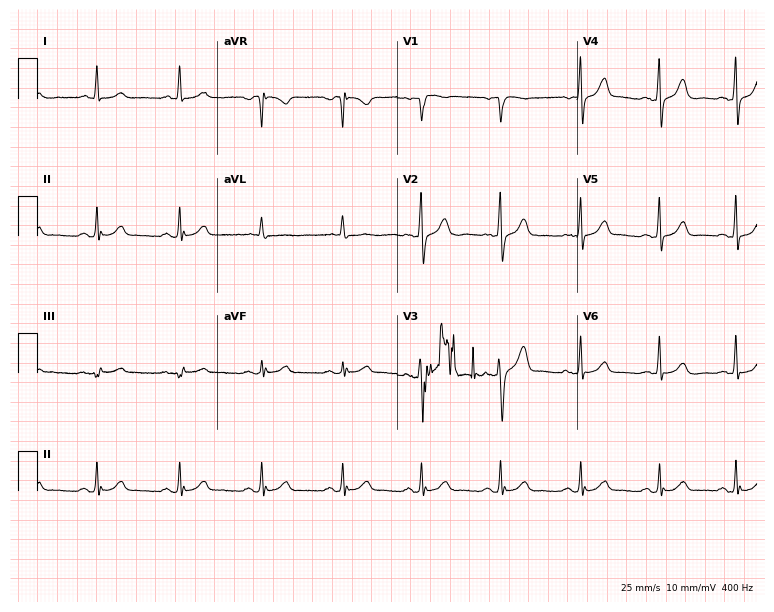
Standard 12-lead ECG recorded from a man, 72 years old. Read as a normal ECG.